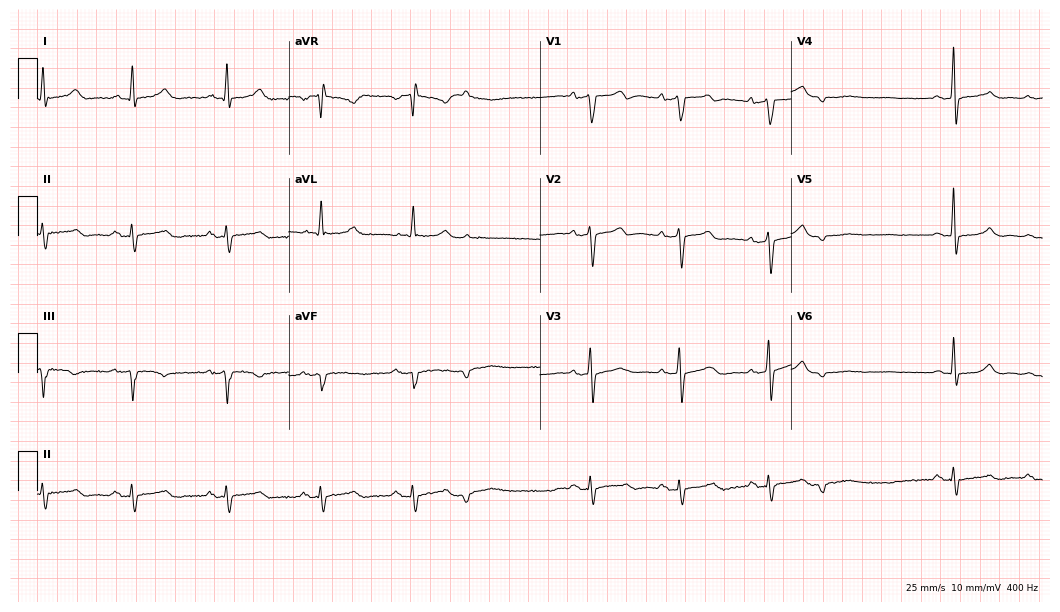
Resting 12-lead electrocardiogram. Patient: a male, 82 years old. None of these six findings is recorded: first-degree AV block, right bundle branch block, left bundle branch block, sinus bradycardia, atrial fibrillation, sinus tachycardia. Other findings, if any, are not listed.